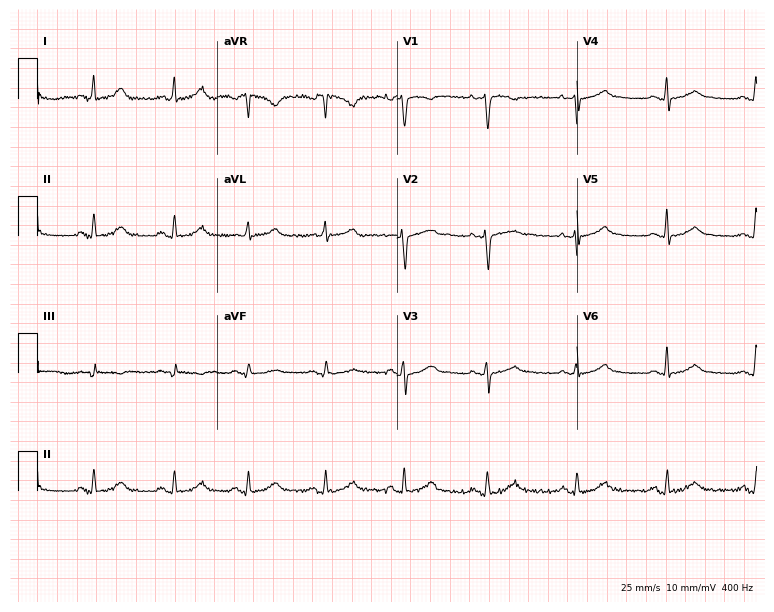
ECG (7.3-second recording at 400 Hz) — a 39-year-old female patient. Labelled as a normal ECG.